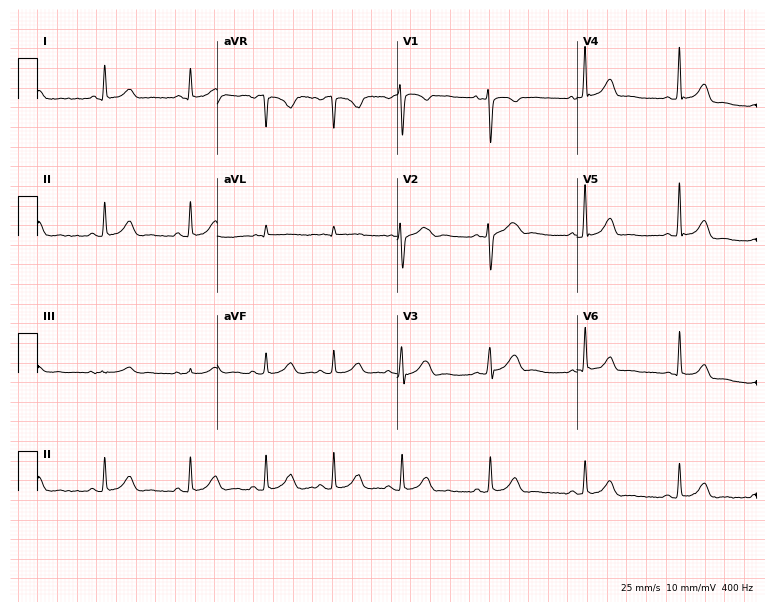
Resting 12-lead electrocardiogram. Patient: a female, 18 years old. None of these six findings is recorded: first-degree AV block, right bundle branch block, left bundle branch block, sinus bradycardia, atrial fibrillation, sinus tachycardia.